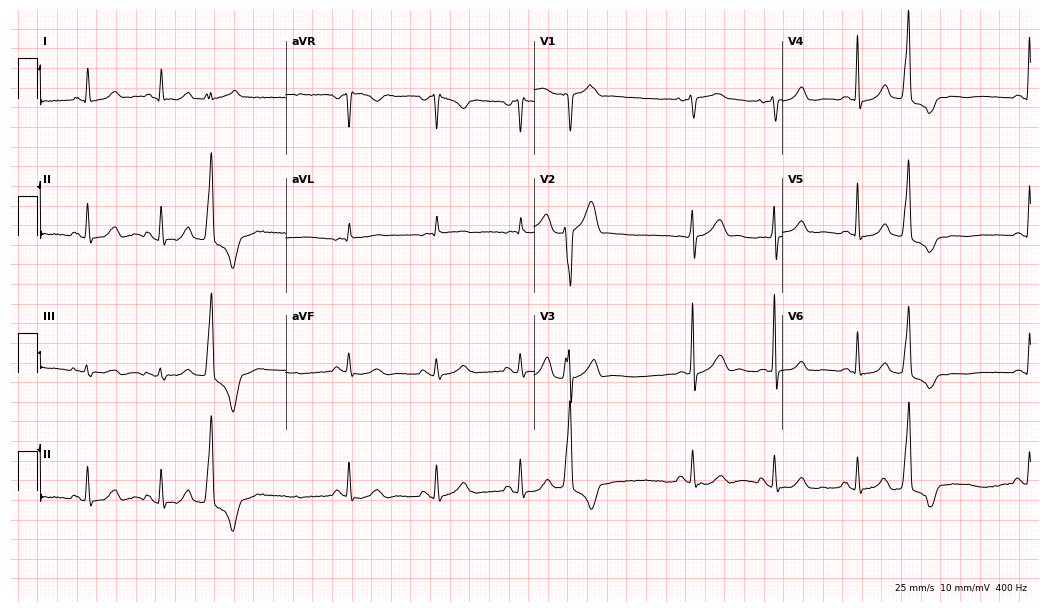
12-lead ECG from a 73-year-old woman (10.1-second recording at 400 Hz). No first-degree AV block, right bundle branch block (RBBB), left bundle branch block (LBBB), sinus bradycardia, atrial fibrillation (AF) or sinus tachycardia recorded for this tracing.